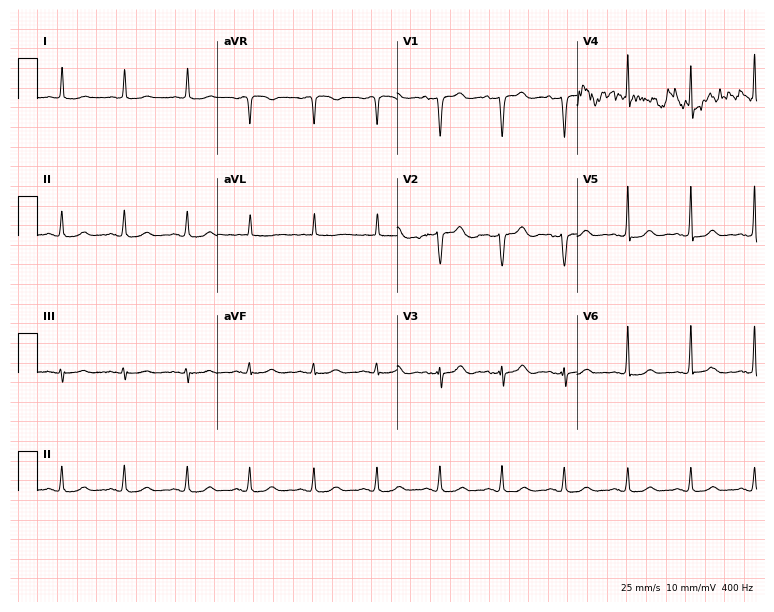
ECG — an 85-year-old woman. Screened for six findings — first-degree AV block, right bundle branch block, left bundle branch block, sinus bradycardia, atrial fibrillation, sinus tachycardia — none is recorded. Only these six findings were labelled.